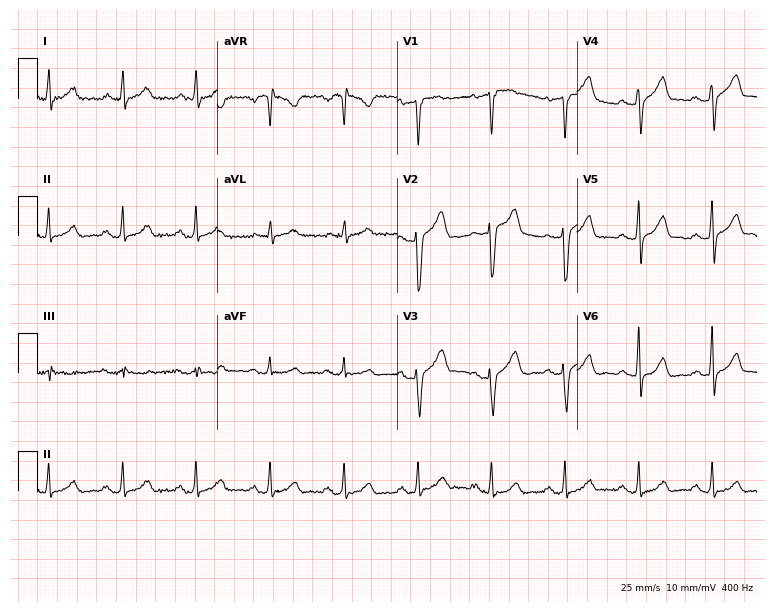
12-lead ECG (7.3-second recording at 400 Hz) from a male patient, 67 years old. Labelled as a normal ECG.